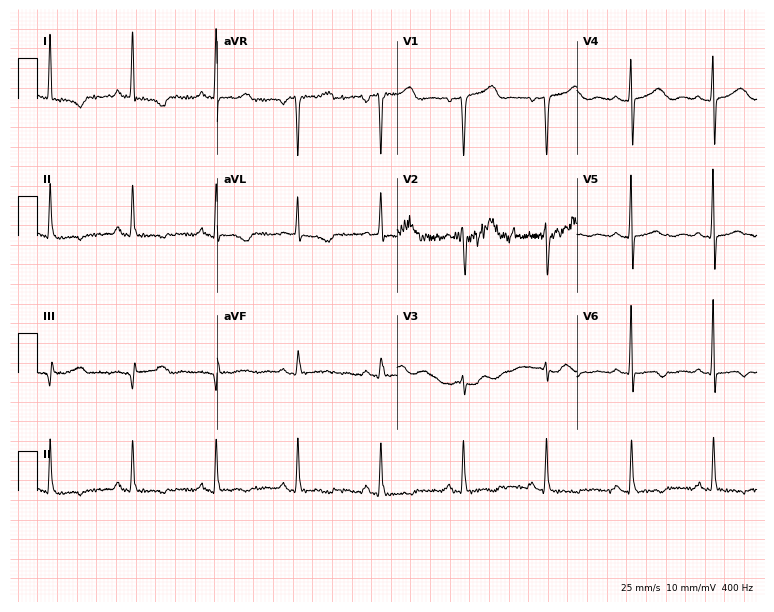
12-lead ECG from a female, 42 years old. No first-degree AV block, right bundle branch block, left bundle branch block, sinus bradycardia, atrial fibrillation or sinus tachycardia recorded for this tracing.